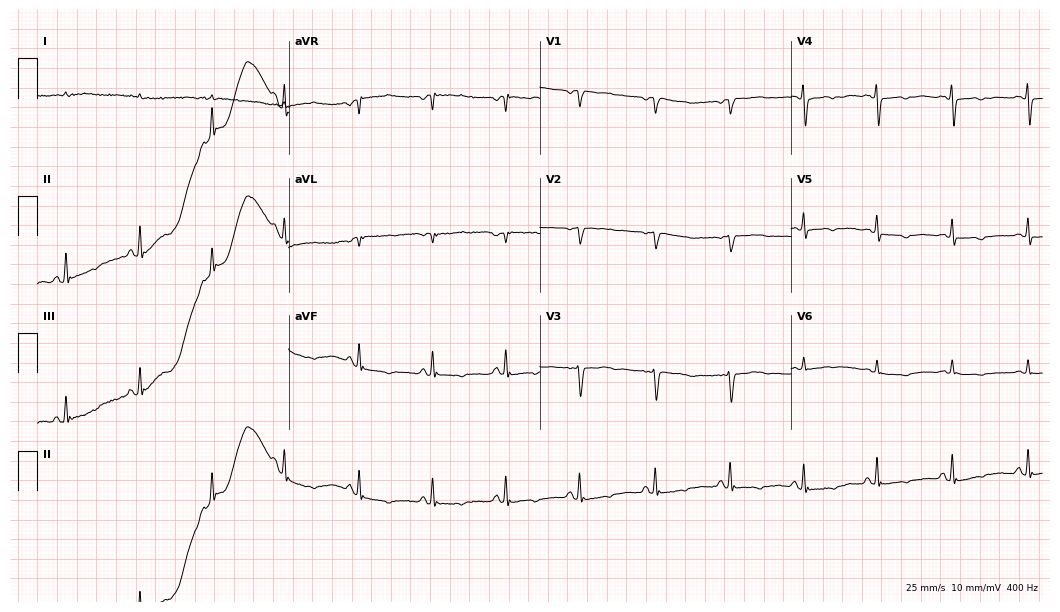
Electrocardiogram (10.2-second recording at 400 Hz), an 83-year-old female. Of the six screened findings (first-degree AV block, right bundle branch block (RBBB), left bundle branch block (LBBB), sinus bradycardia, atrial fibrillation (AF), sinus tachycardia), none is recorded.